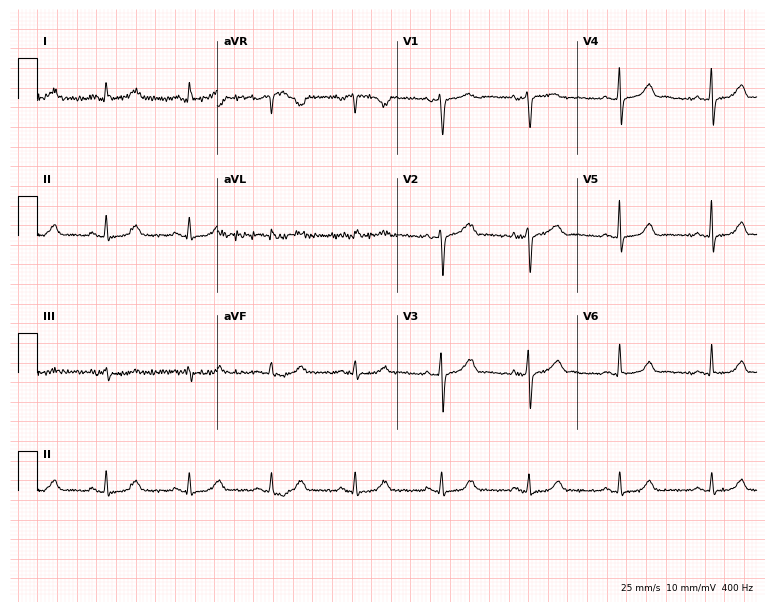
Electrocardiogram, a woman, 44 years old. Of the six screened findings (first-degree AV block, right bundle branch block, left bundle branch block, sinus bradycardia, atrial fibrillation, sinus tachycardia), none is recorded.